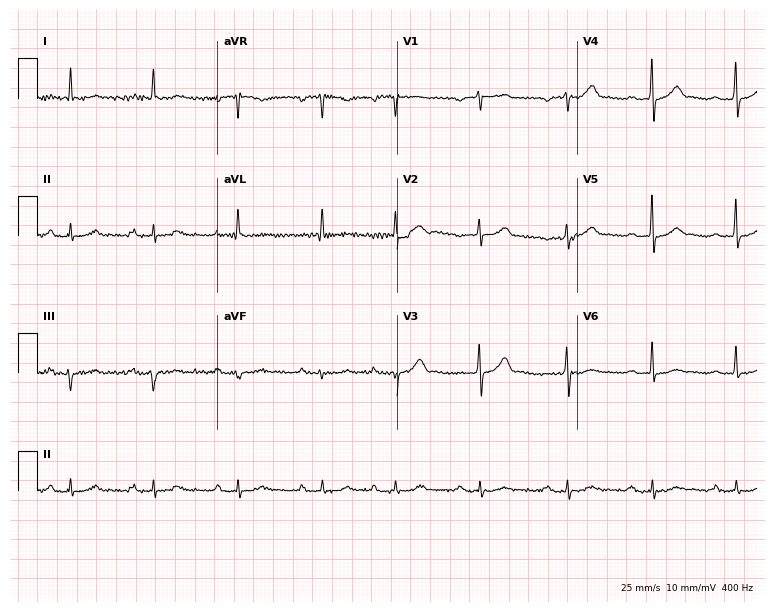
12-lead ECG (7.3-second recording at 400 Hz) from a man, 71 years old. Labelled as a normal ECG.